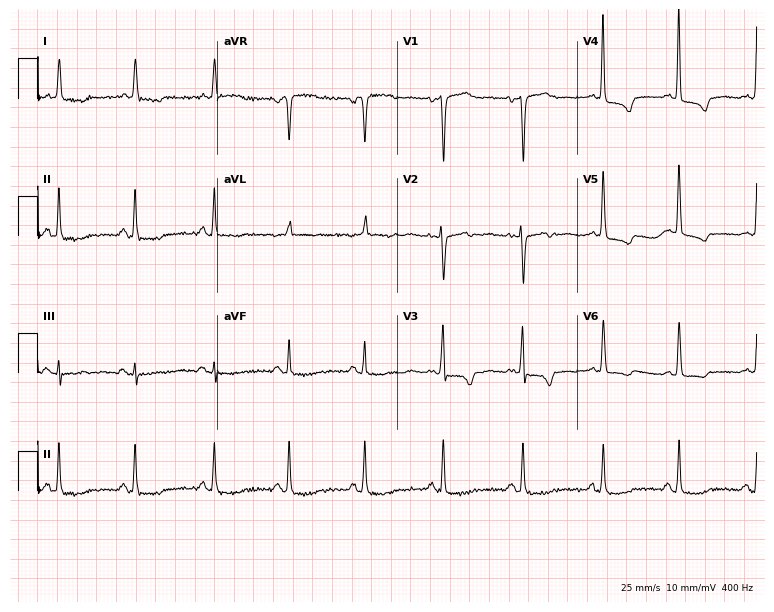
12-lead ECG from a female patient, 77 years old. Screened for six findings — first-degree AV block, right bundle branch block (RBBB), left bundle branch block (LBBB), sinus bradycardia, atrial fibrillation (AF), sinus tachycardia — none is recorded.